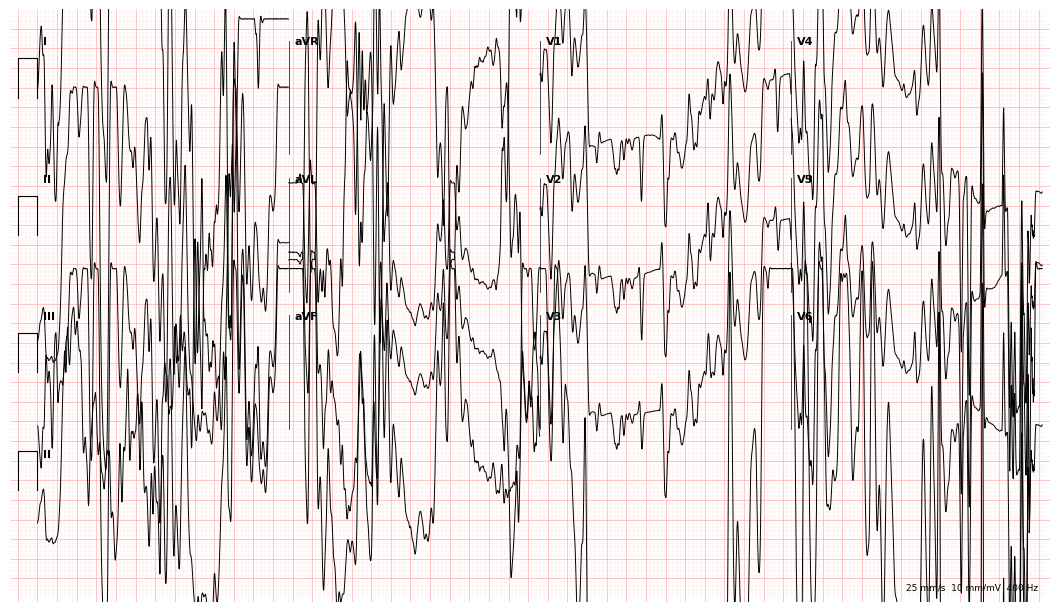
Standard 12-lead ECG recorded from a female patient, 41 years old. None of these six findings is recorded: first-degree AV block, right bundle branch block, left bundle branch block, sinus bradycardia, atrial fibrillation, sinus tachycardia. Findings outside these six are not listed.